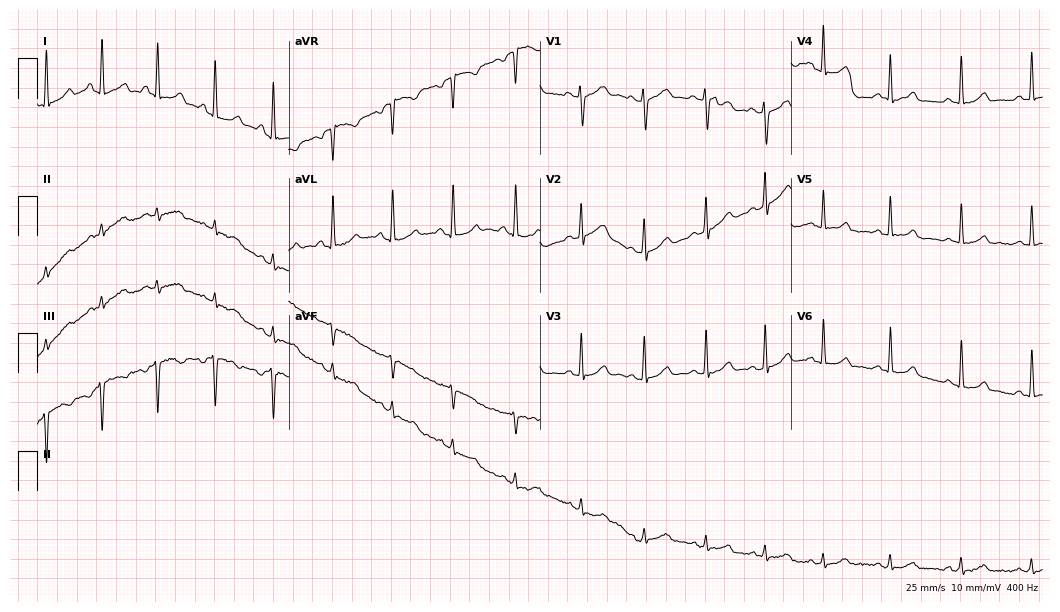
Standard 12-lead ECG recorded from a 30-year-old female (10.2-second recording at 400 Hz). Read as a normal ECG.